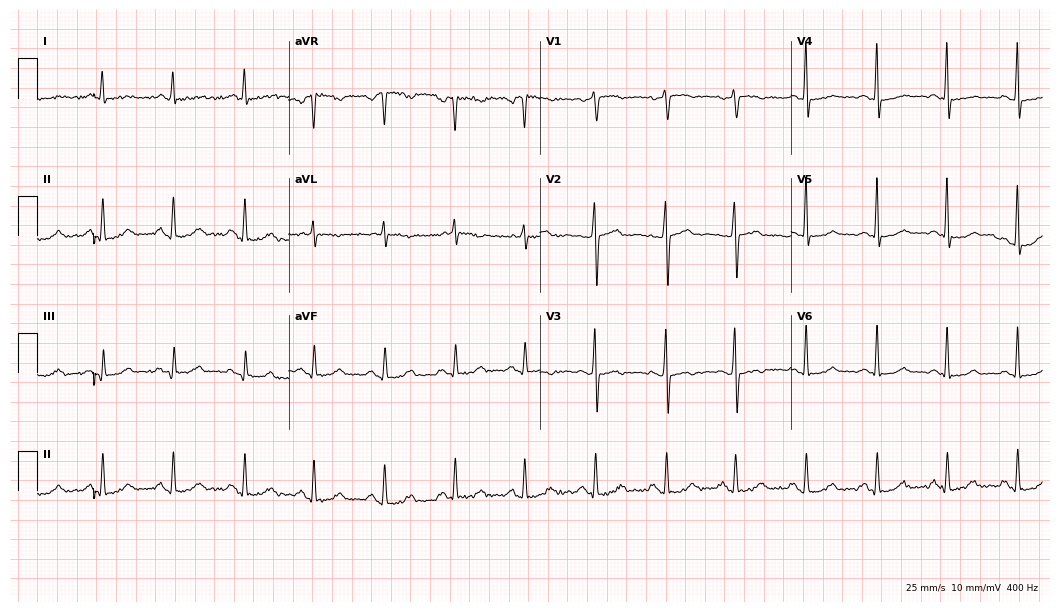
ECG — a 55-year-old female patient. Screened for six findings — first-degree AV block, right bundle branch block, left bundle branch block, sinus bradycardia, atrial fibrillation, sinus tachycardia — none is recorded.